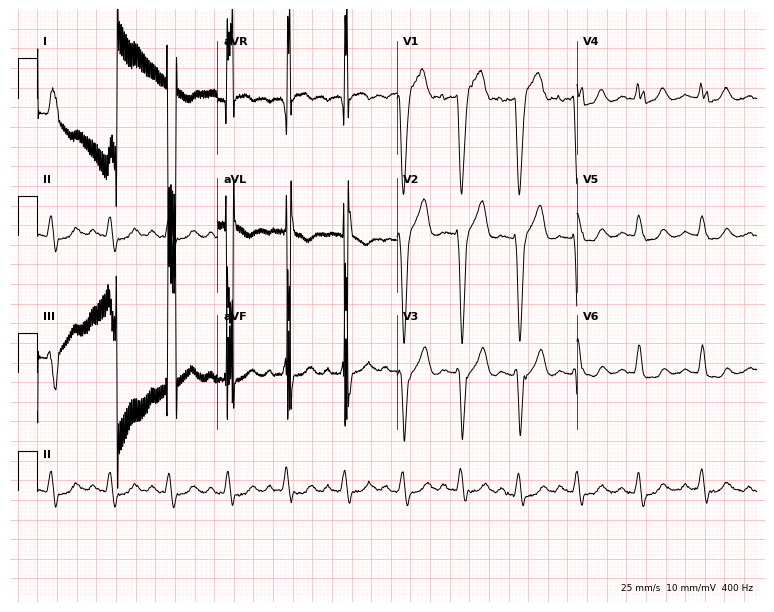
Standard 12-lead ECG recorded from a male patient, 82 years old (7.3-second recording at 400 Hz). The tracing shows left bundle branch block.